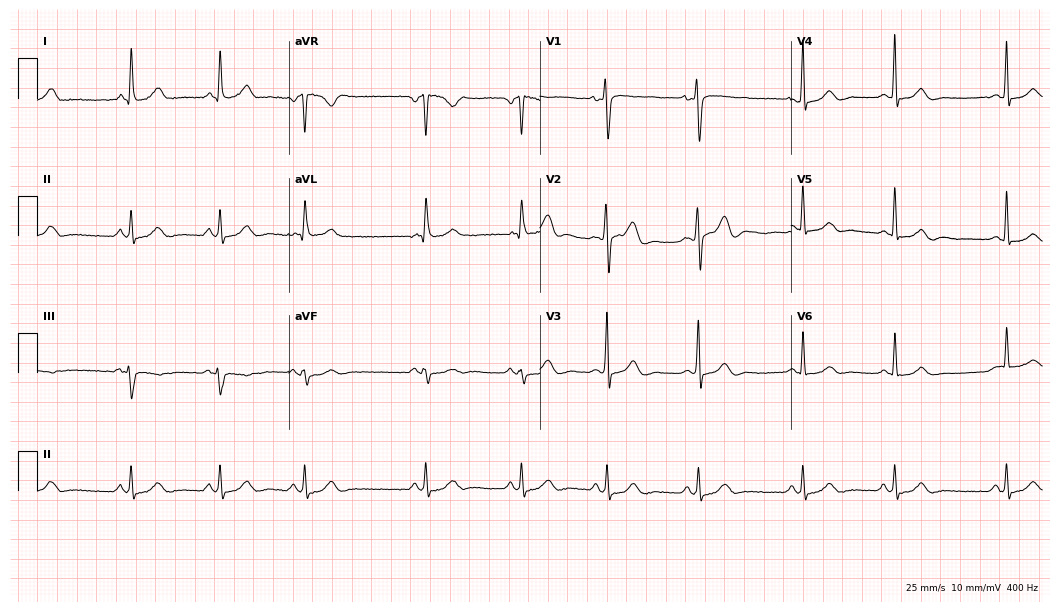
ECG (10.2-second recording at 400 Hz) — a man, 36 years old. Screened for six findings — first-degree AV block, right bundle branch block (RBBB), left bundle branch block (LBBB), sinus bradycardia, atrial fibrillation (AF), sinus tachycardia — none is recorded.